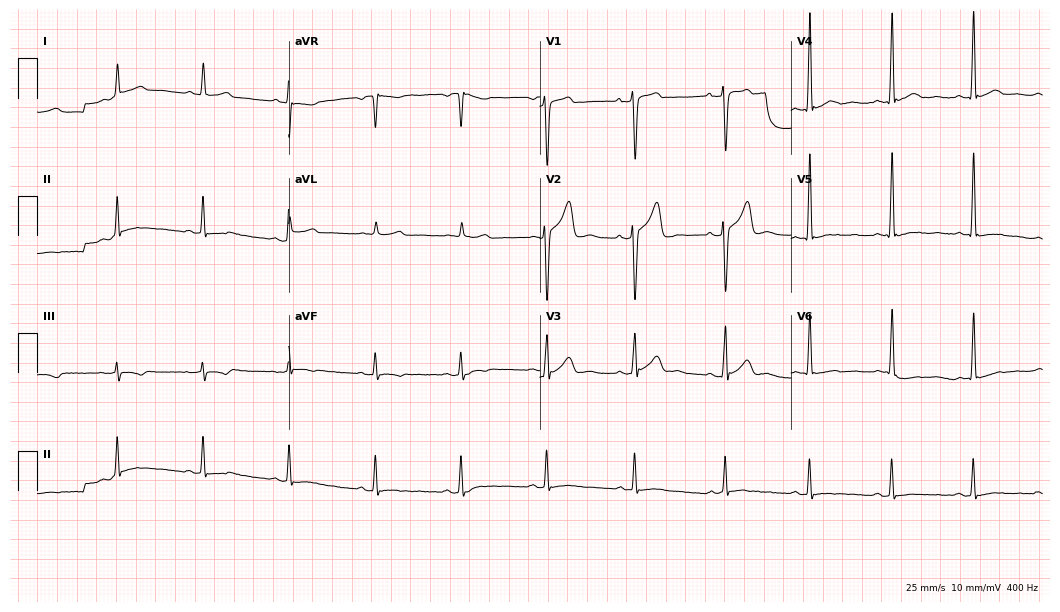
ECG (10.2-second recording at 400 Hz) — a male patient, 32 years old. Screened for six findings — first-degree AV block, right bundle branch block, left bundle branch block, sinus bradycardia, atrial fibrillation, sinus tachycardia — none is recorded.